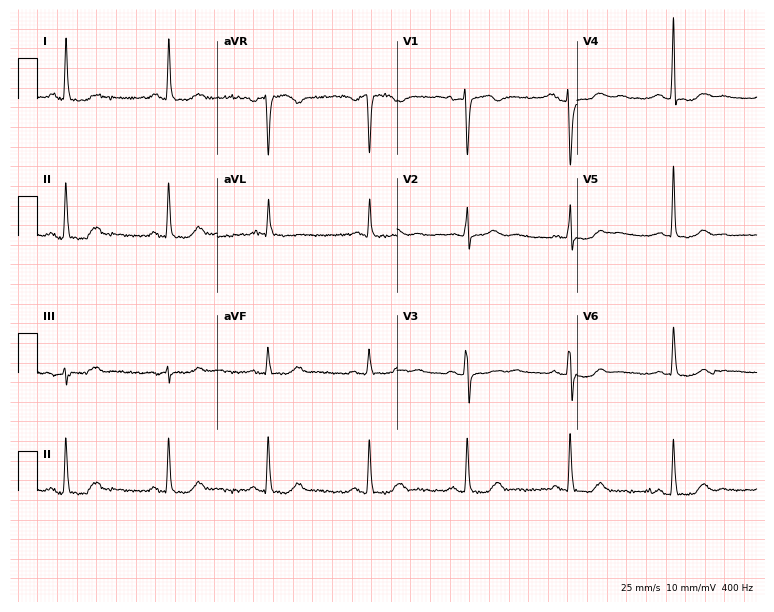
ECG — a female, 47 years old. Labelled as a normal ECG.